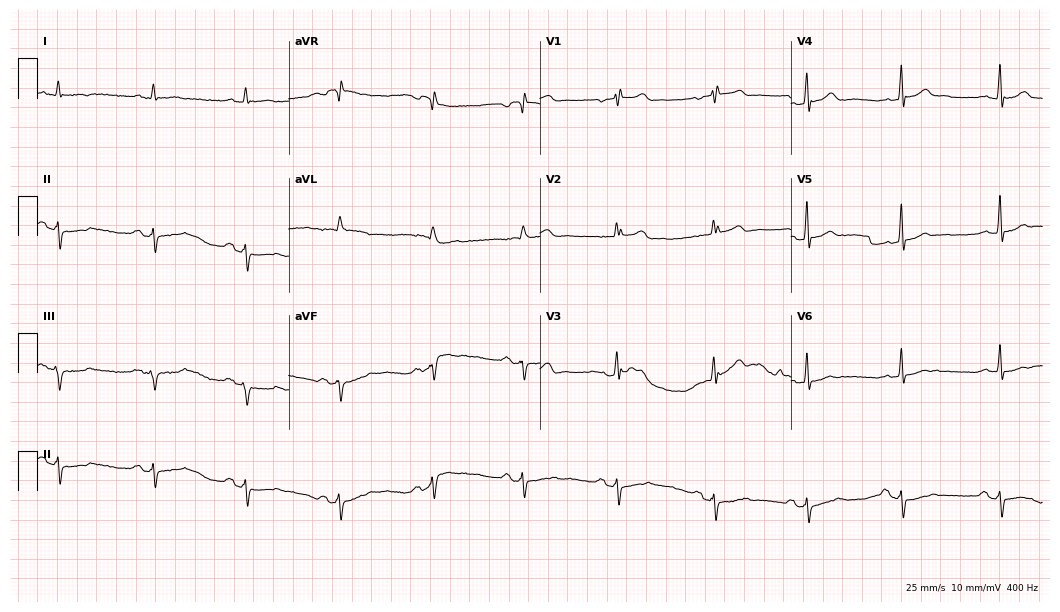
Electrocardiogram, a 67-year-old male patient. Of the six screened findings (first-degree AV block, right bundle branch block (RBBB), left bundle branch block (LBBB), sinus bradycardia, atrial fibrillation (AF), sinus tachycardia), none is recorded.